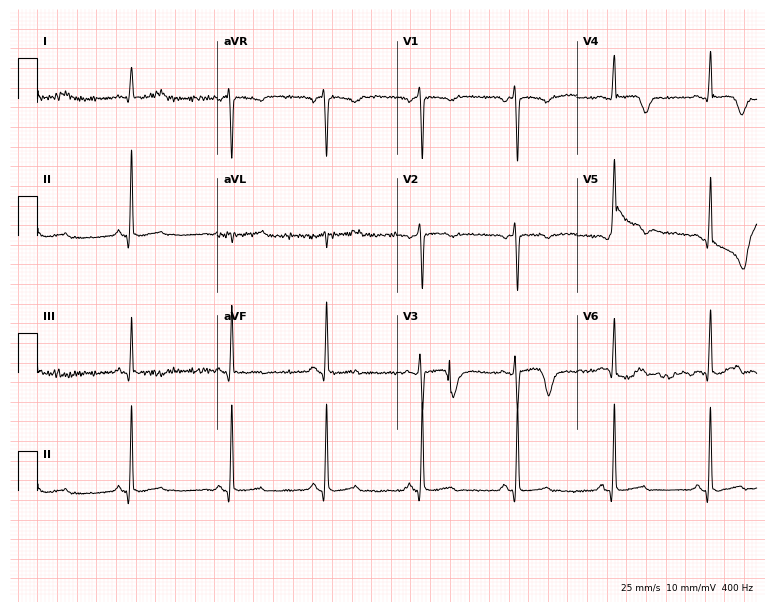
12-lead ECG from a 47-year-old female patient (7.3-second recording at 400 Hz). No first-degree AV block, right bundle branch block (RBBB), left bundle branch block (LBBB), sinus bradycardia, atrial fibrillation (AF) or sinus tachycardia recorded for this tracing. Other findings, if any, are not listed.